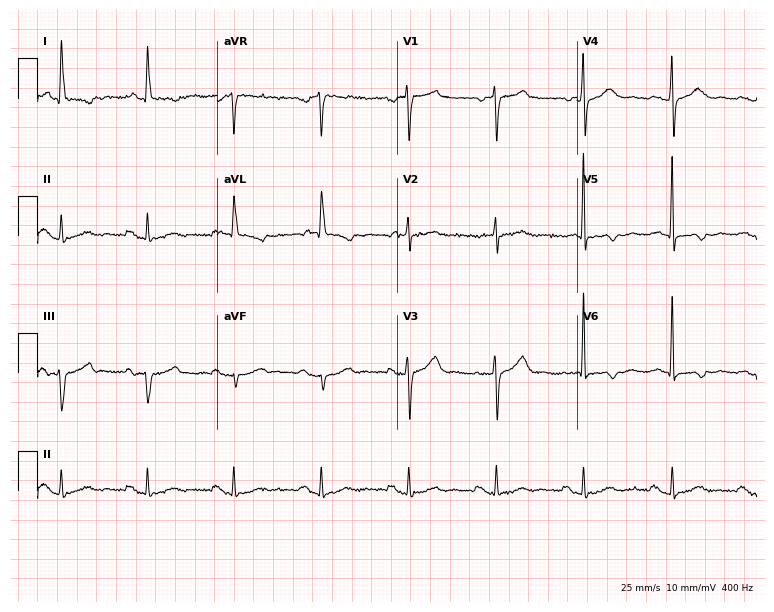
Resting 12-lead electrocardiogram (7.3-second recording at 400 Hz). Patient: a 70-year-old male. None of these six findings is recorded: first-degree AV block, right bundle branch block, left bundle branch block, sinus bradycardia, atrial fibrillation, sinus tachycardia.